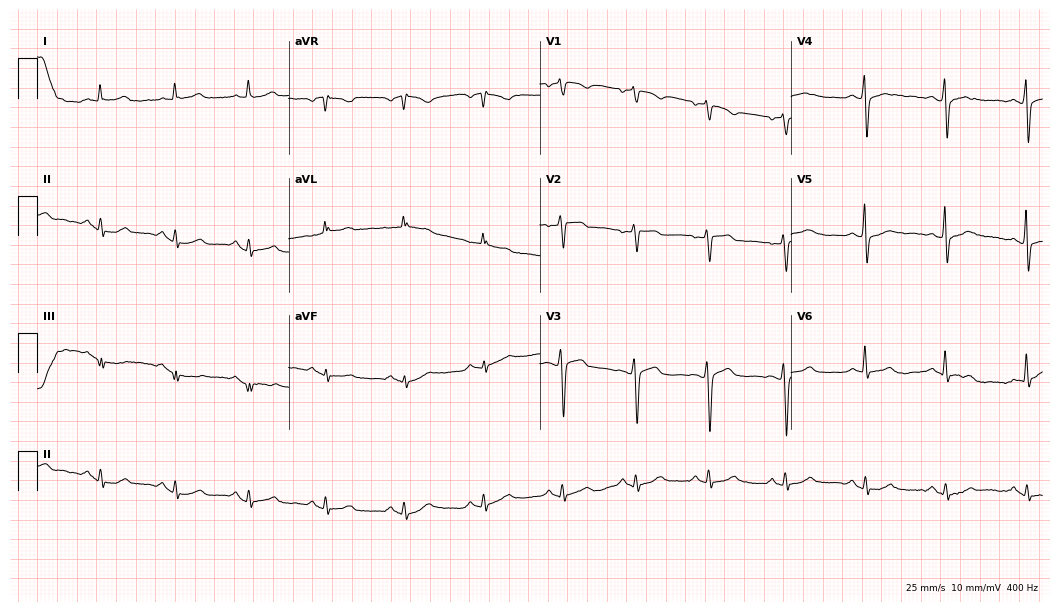
12-lead ECG from a 51-year-old female patient. Recorded interpretation: within normal limits.